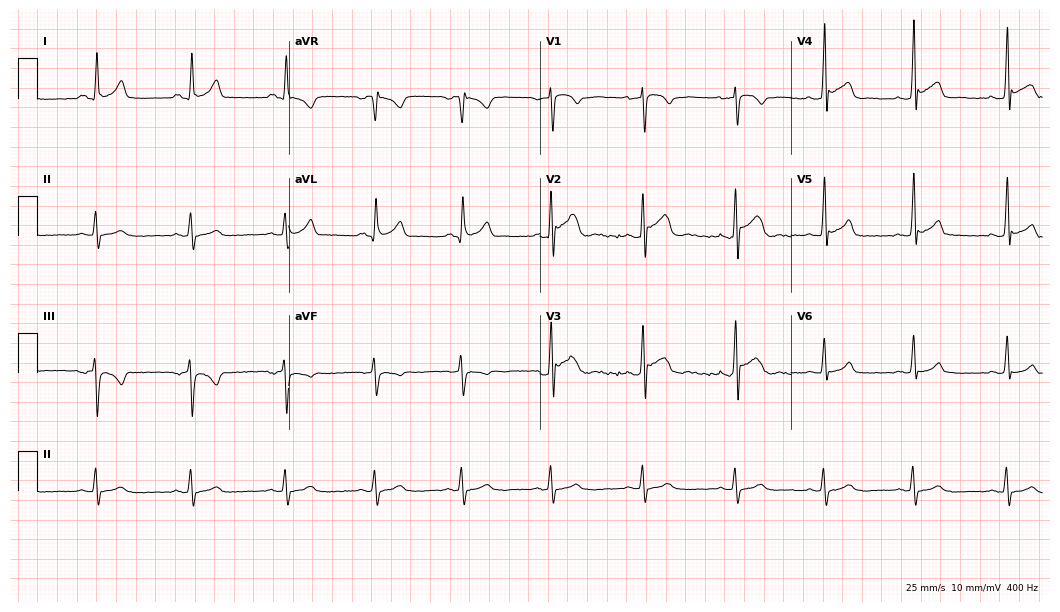
Standard 12-lead ECG recorded from a male patient, 26 years old. Read as a normal ECG.